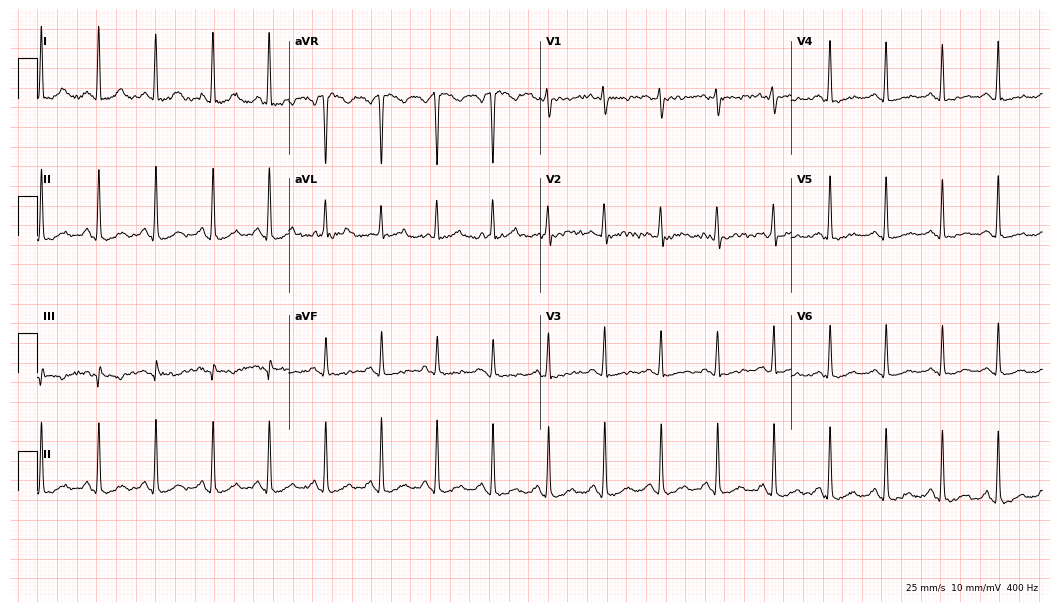
Electrocardiogram (10.2-second recording at 400 Hz), a woman, 54 years old. Interpretation includes sinus tachycardia (a sinus rate of 100 beats per minute or more).